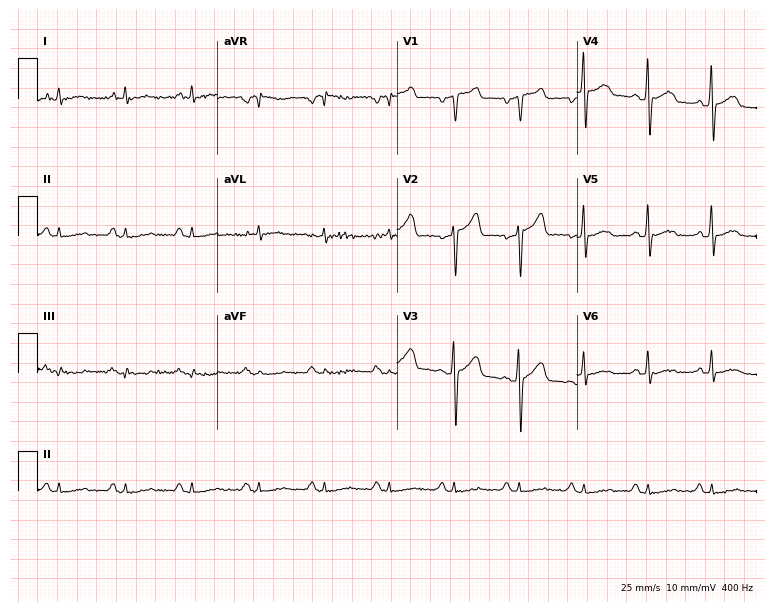
Standard 12-lead ECG recorded from a 55-year-old male patient. None of these six findings is recorded: first-degree AV block, right bundle branch block, left bundle branch block, sinus bradycardia, atrial fibrillation, sinus tachycardia.